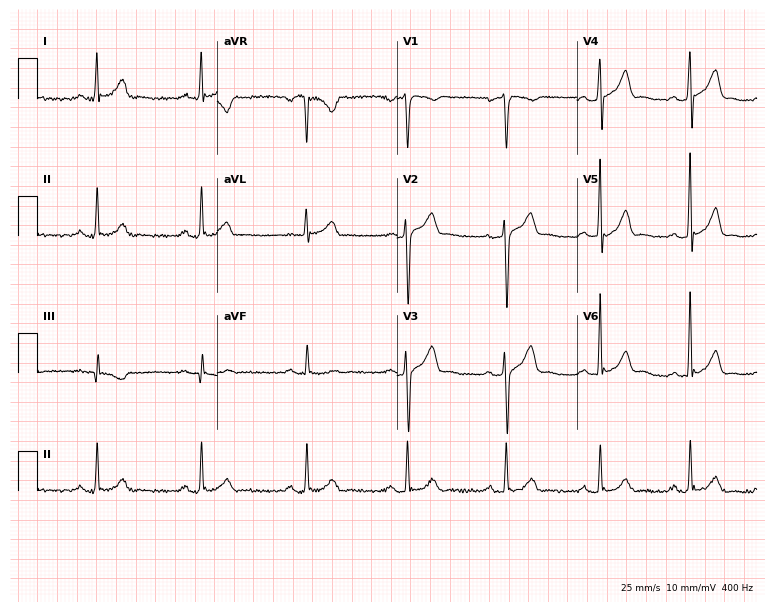
Electrocardiogram (7.3-second recording at 400 Hz), a male patient, 35 years old. Overall reading on record: normal ECG.